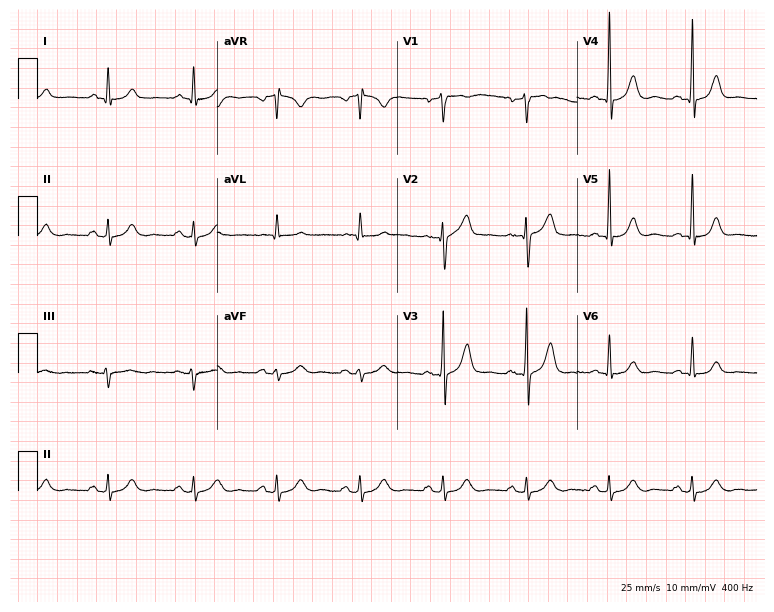
Standard 12-lead ECG recorded from a male patient, 56 years old (7.3-second recording at 400 Hz). Read as a normal ECG.